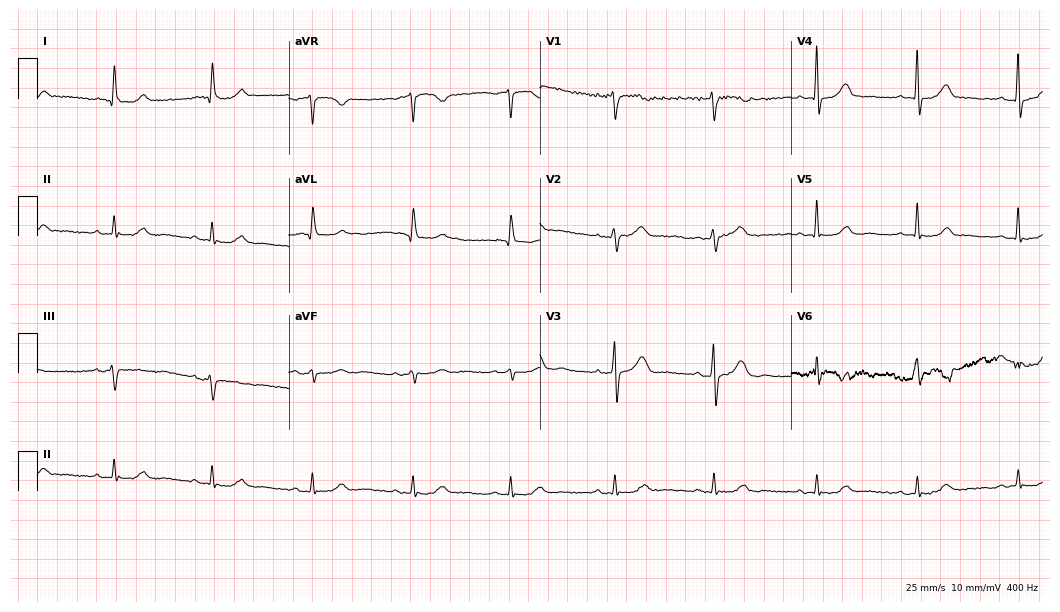
Standard 12-lead ECG recorded from an 81-year-old female patient (10.2-second recording at 400 Hz). Read as a normal ECG.